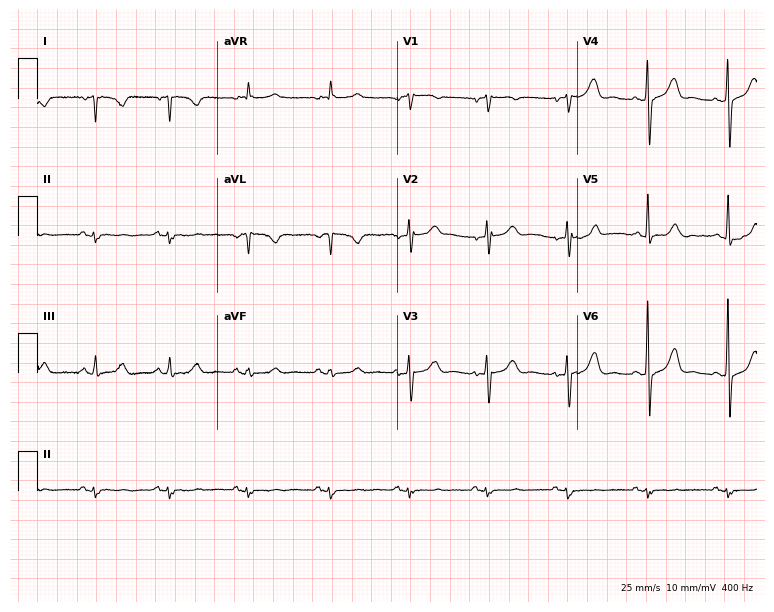
Standard 12-lead ECG recorded from a 49-year-old woman. None of these six findings is recorded: first-degree AV block, right bundle branch block (RBBB), left bundle branch block (LBBB), sinus bradycardia, atrial fibrillation (AF), sinus tachycardia.